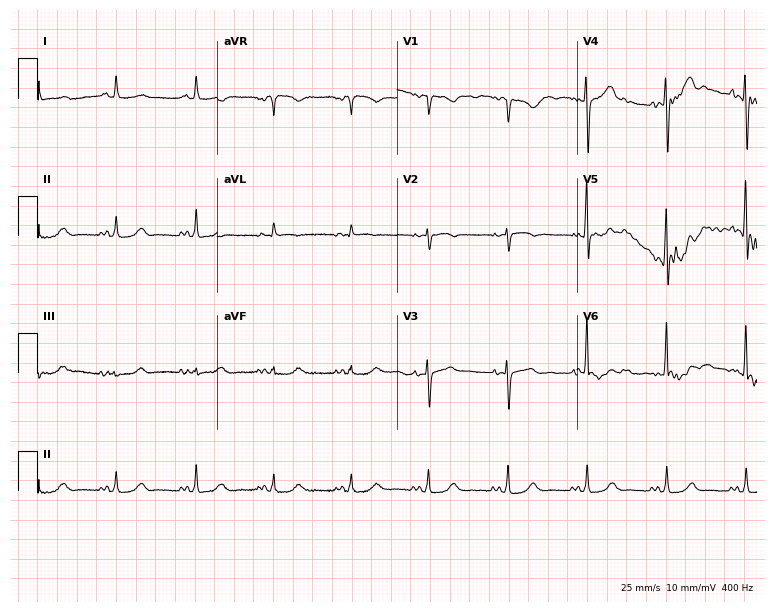
Electrocardiogram (7.3-second recording at 400 Hz), a male, 72 years old. Overall reading on record: normal ECG.